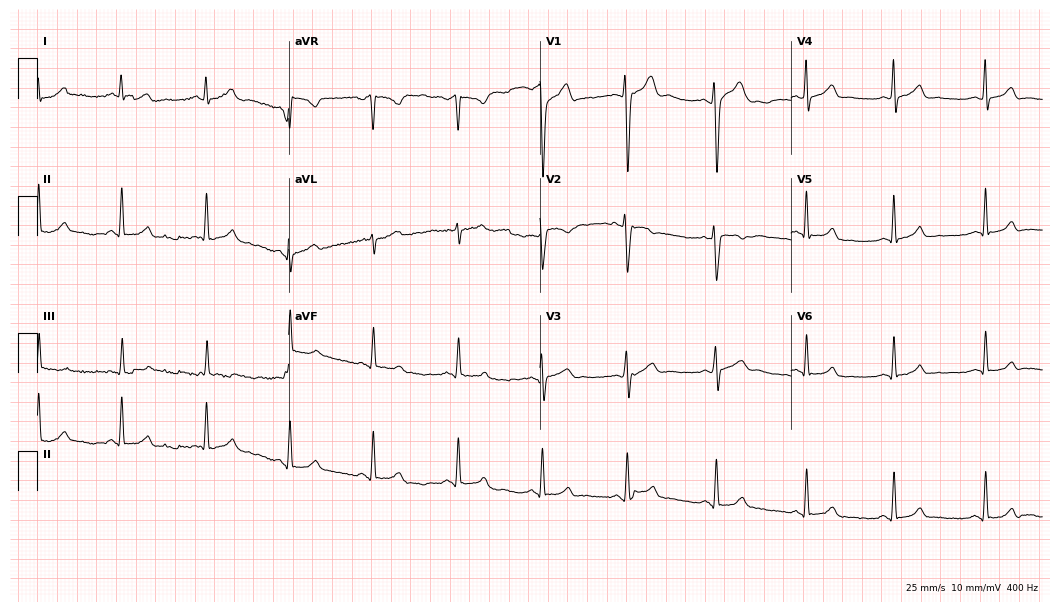
12-lead ECG from a 29-year-old man. Screened for six findings — first-degree AV block, right bundle branch block, left bundle branch block, sinus bradycardia, atrial fibrillation, sinus tachycardia — none is recorded.